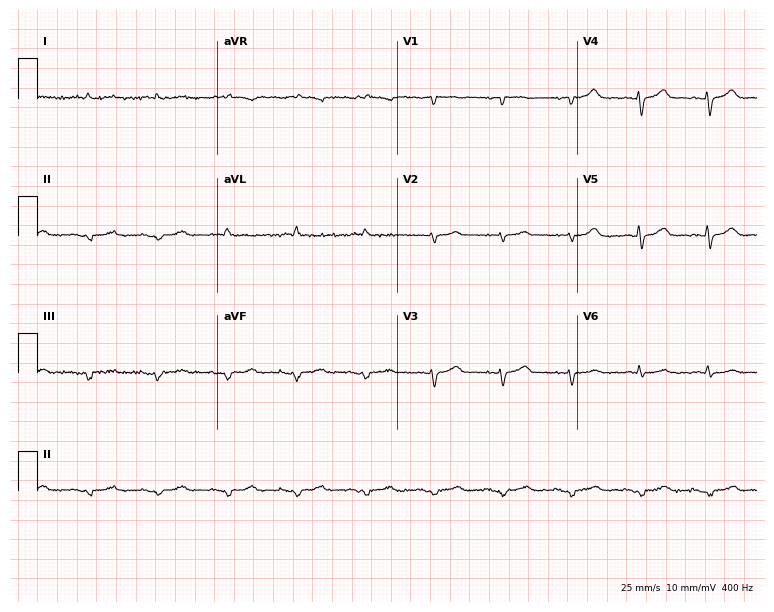
Resting 12-lead electrocardiogram (7.3-second recording at 400 Hz). Patient: a man, 70 years old. None of these six findings is recorded: first-degree AV block, right bundle branch block, left bundle branch block, sinus bradycardia, atrial fibrillation, sinus tachycardia. Findings outside these six are not listed.